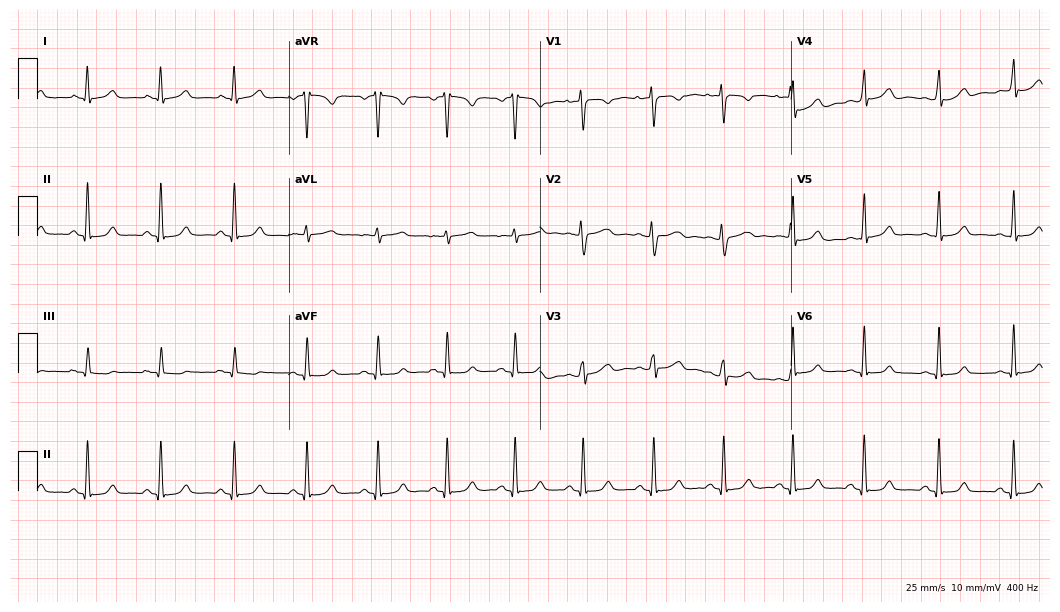
12-lead ECG from a woman, 26 years old. Labelled as a normal ECG.